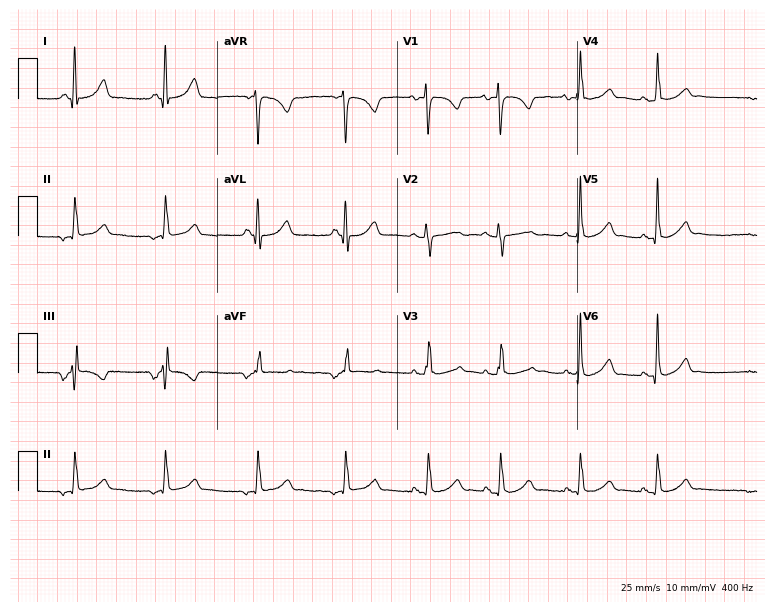
Resting 12-lead electrocardiogram. Patient: a female, 20 years old. None of these six findings is recorded: first-degree AV block, right bundle branch block (RBBB), left bundle branch block (LBBB), sinus bradycardia, atrial fibrillation (AF), sinus tachycardia.